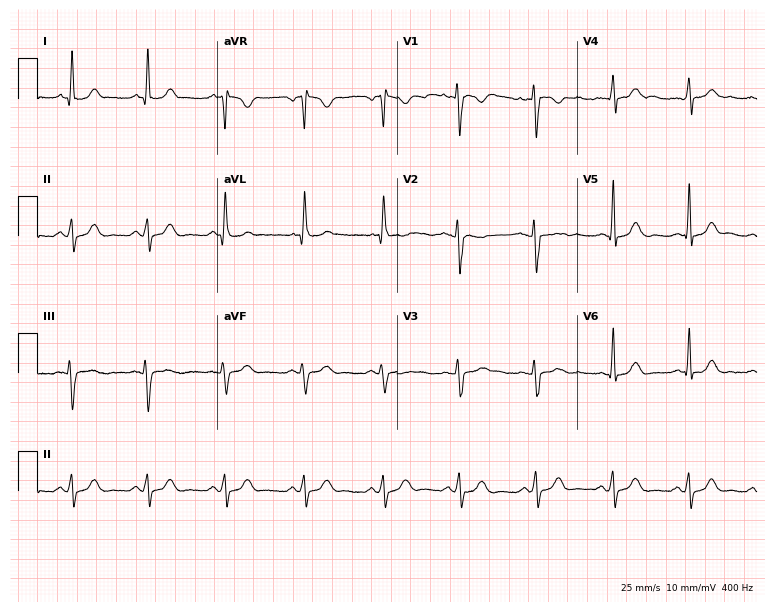
Electrocardiogram, a 39-year-old female patient. Of the six screened findings (first-degree AV block, right bundle branch block, left bundle branch block, sinus bradycardia, atrial fibrillation, sinus tachycardia), none is recorded.